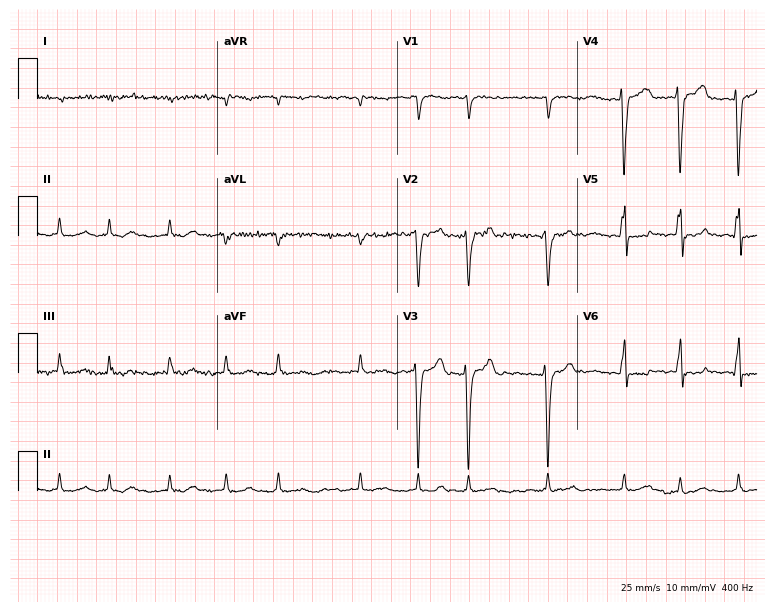
12-lead ECG from a 57-year-old male patient (7.3-second recording at 400 Hz). Shows atrial fibrillation (AF).